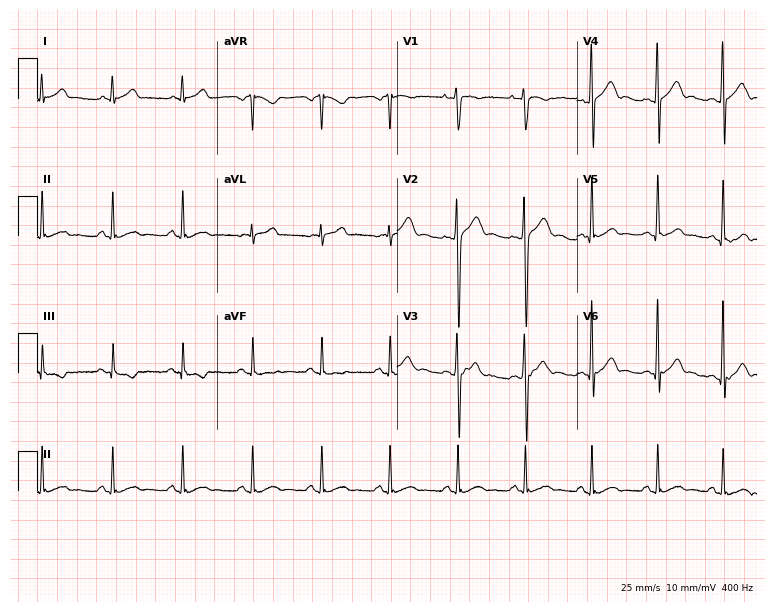
ECG — a 21-year-old man. Labelled as a normal ECG.